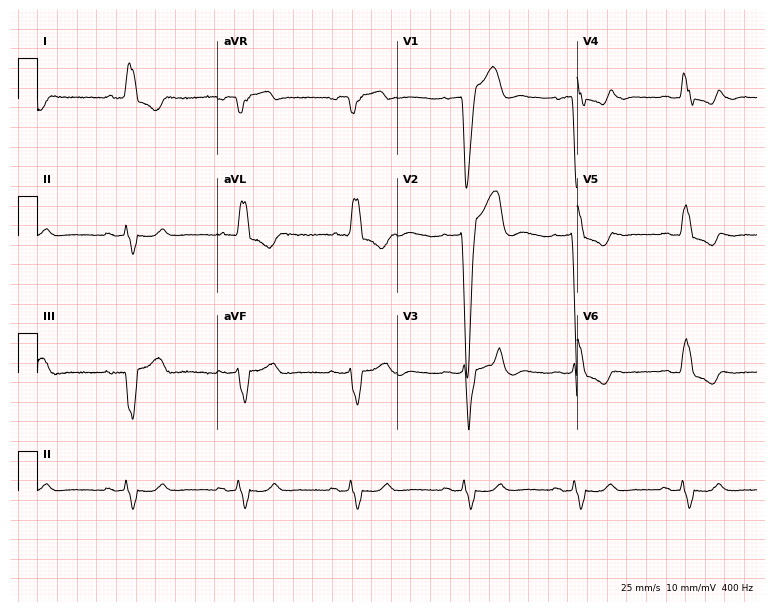
Electrocardiogram (7.3-second recording at 400 Hz), an 81-year-old male. Of the six screened findings (first-degree AV block, right bundle branch block, left bundle branch block, sinus bradycardia, atrial fibrillation, sinus tachycardia), none is recorded.